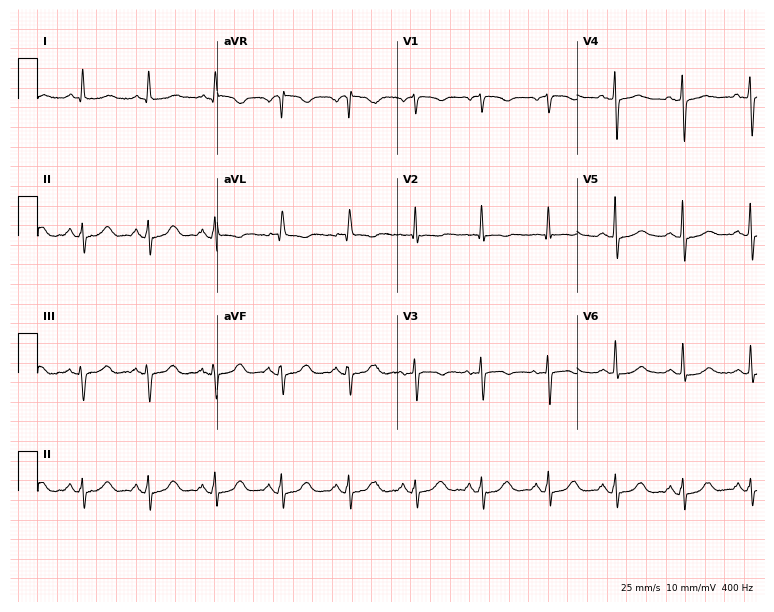
Standard 12-lead ECG recorded from a female patient, 79 years old (7.3-second recording at 400 Hz). None of these six findings is recorded: first-degree AV block, right bundle branch block (RBBB), left bundle branch block (LBBB), sinus bradycardia, atrial fibrillation (AF), sinus tachycardia.